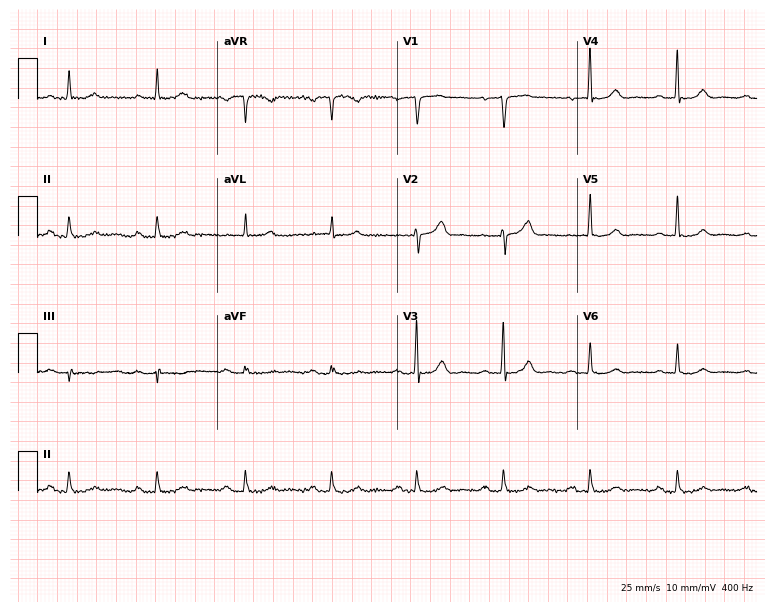
ECG — a male, 77 years old. Labelled as a normal ECG.